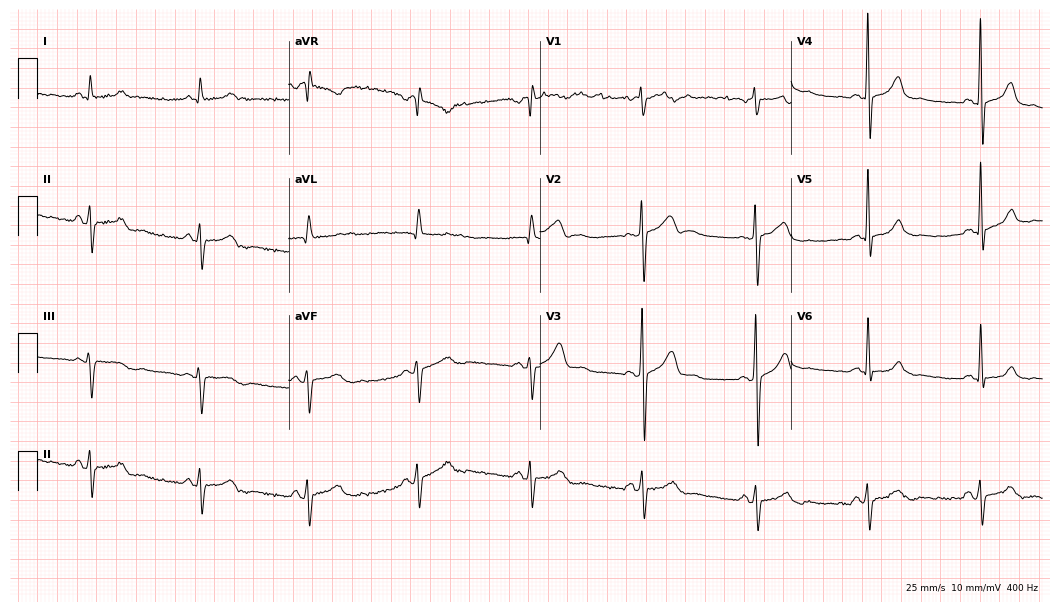
12-lead ECG from a man, 52 years old. Screened for six findings — first-degree AV block, right bundle branch block, left bundle branch block, sinus bradycardia, atrial fibrillation, sinus tachycardia — none is recorded. Other findings, if any, are not listed.